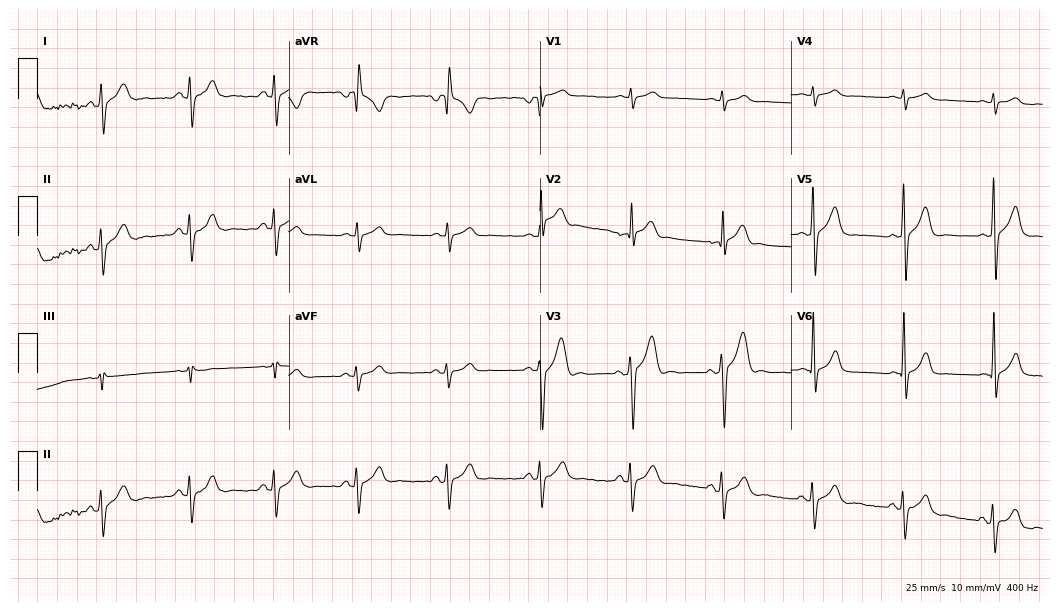
12-lead ECG from a 60-year-old male patient. Screened for six findings — first-degree AV block, right bundle branch block, left bundle branch block, sinus bradycardia, atrial fibrillation, sinus tachycardia — none is recorded.